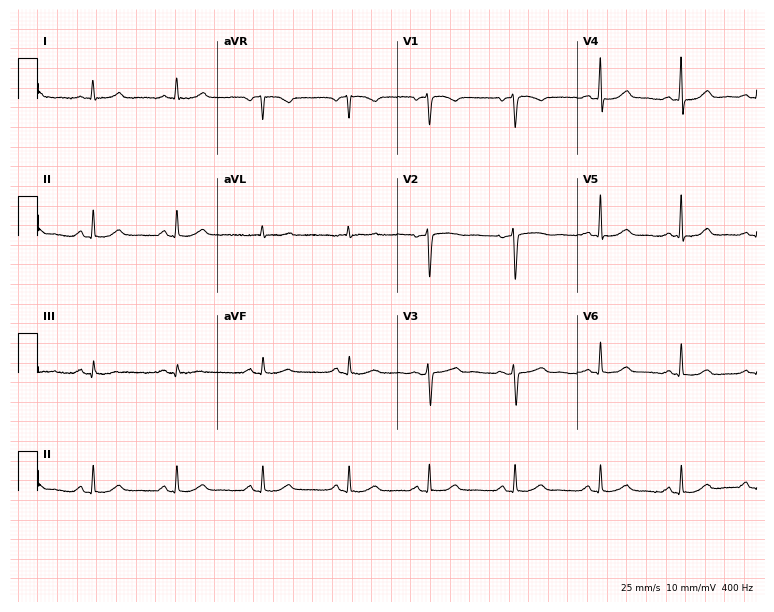
Electrocardiogram (7.3-second recording at 400 Hz), a 48-year-old female. Overall reading on record: normal ECG.